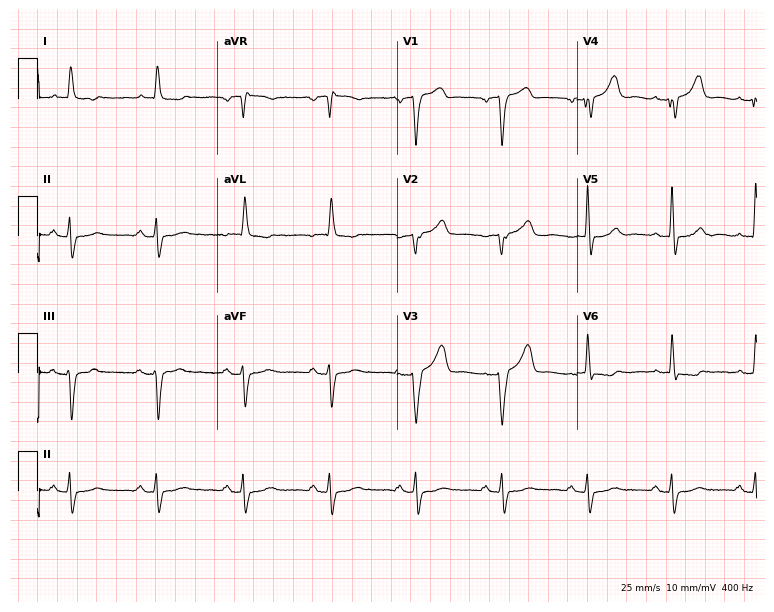
ECG (7.3-second recording at 400 Hz) — a male, 84 years old. Screened for six findings — first-degree AV block, right bundle branch block, left bundle branch block, sinus bradycardia, atrial fibrillation, sinus tachycardia — none is recorded. Findings outside these six are not listed.